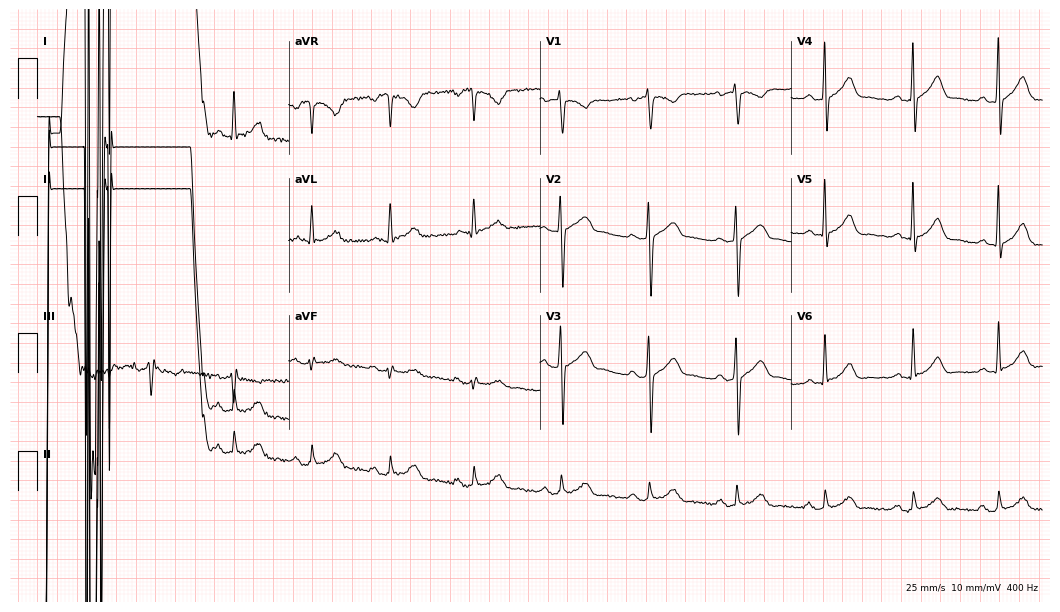
12-lead ECG from a 47-year-old male patient (10.2-second recording at 400 Hz). No first-degree AV block, right bundle branch block, left bundle branch block, sinus bradycardia, atrial fibrillation or sinus tachycardia recorded for this tracing. Only these six findings were labelled.